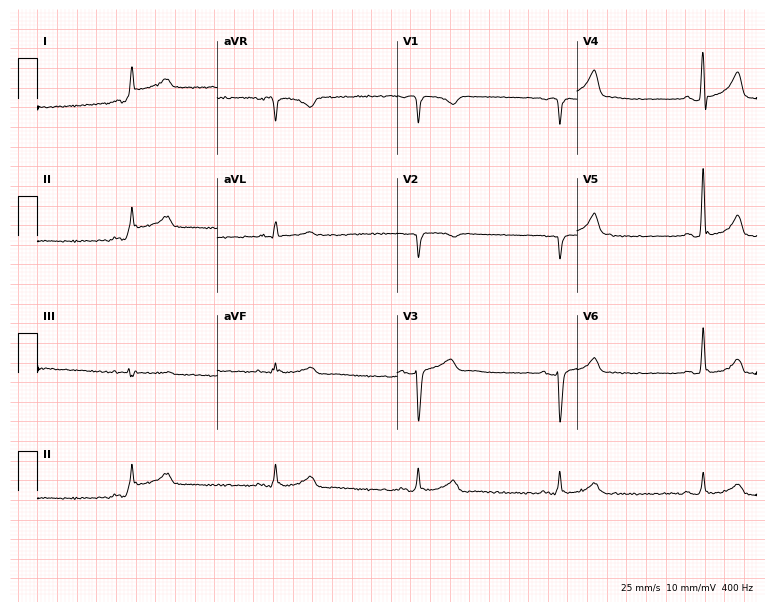
12-lead ECG from a 50-year-old male patient. Findings include sinus bradycardia (a sinus rate of 50 beats per minute or less).